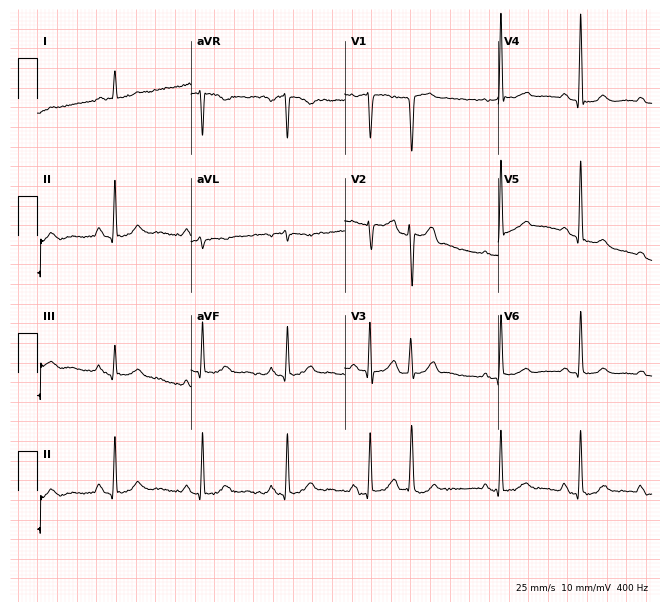
12-lead ECG from a female patient, 77 years old (6.3-second recording at 400 Hz). No first-degree AV block, right bundle branch block, left bundle branch block, sinus bradycardia, atrial fibrillation or sinus tachycardia recorded for this tracing. Only these six findings were labelled.